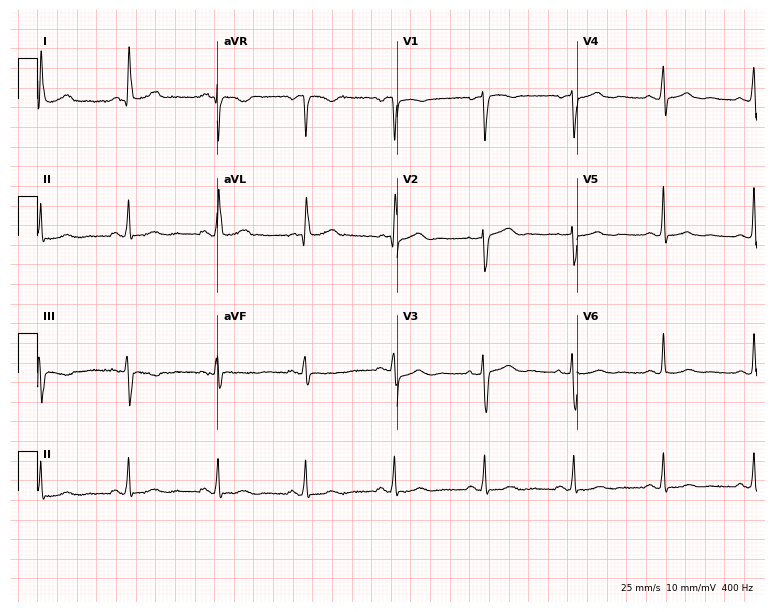
12-lead ECG from a 65-year-old female (7.3-second recording at 400 Hz). No first-degree AV block, right bundle branch block (RBBB), left bundle branch block (LBBB), sinus bradycardia, atrial fibrillation (AF) or sinus tachycardia recorded for this tracing.